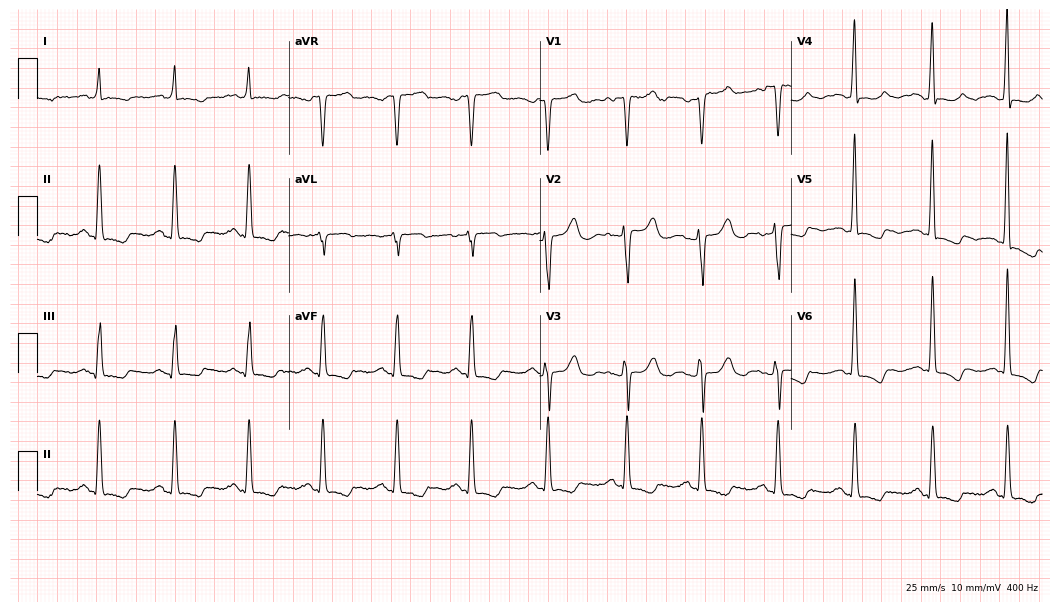
Standard 12-lead ECG recorded from a female, 54 years old. None of these six findings is recorded: first-degree AV block, right bundle branch block (RBBB), left bundle branch block (LBBB), sinus bradycardia, atrial fibrillation (AF), sinus tachycardia. Other findings, if any, are not listed.